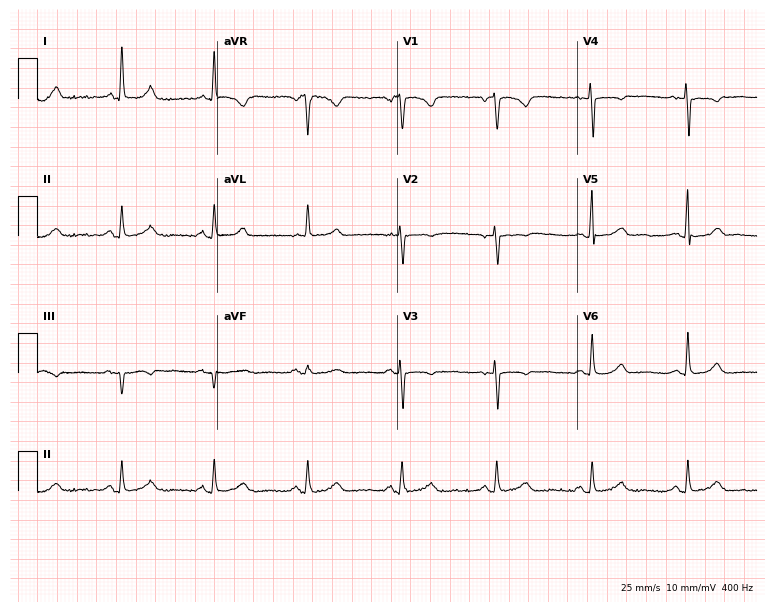
ECG (7.3-second recording at 400 Hz) — a 62-year-old female. Screened for six findings — first-degree AV block, right bundle branch block (RBBB), left bundle branch block (LBBB), sinus bradycardia, atrial fibrillation (AF), sinus tachycardia — none is recorded. Other findings, if any, are not listed.